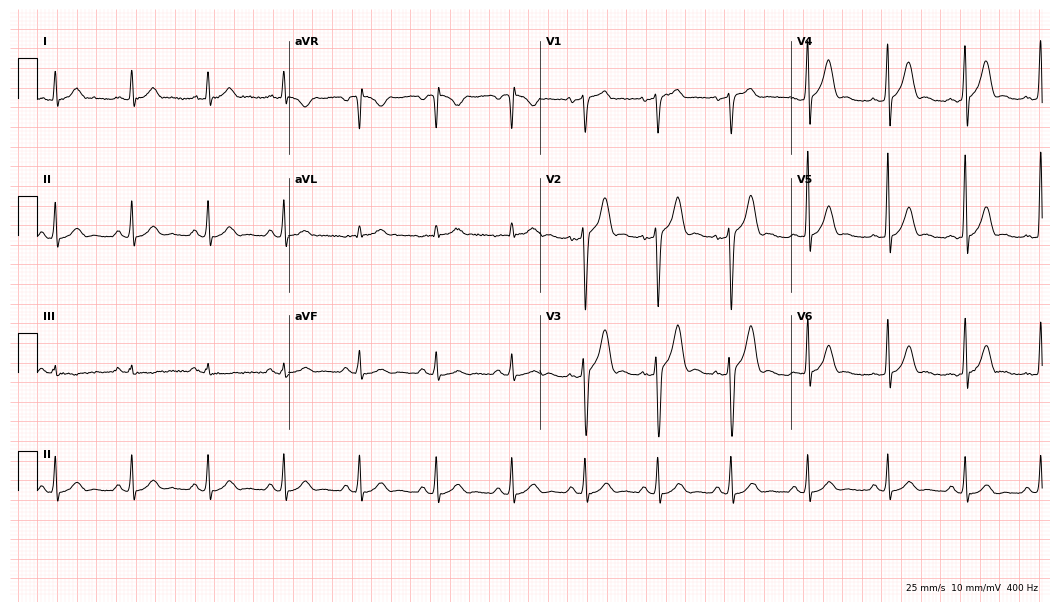
Standard 12-lead ECG recorded from a 33-year-old male patient. Read as a normal ECG.